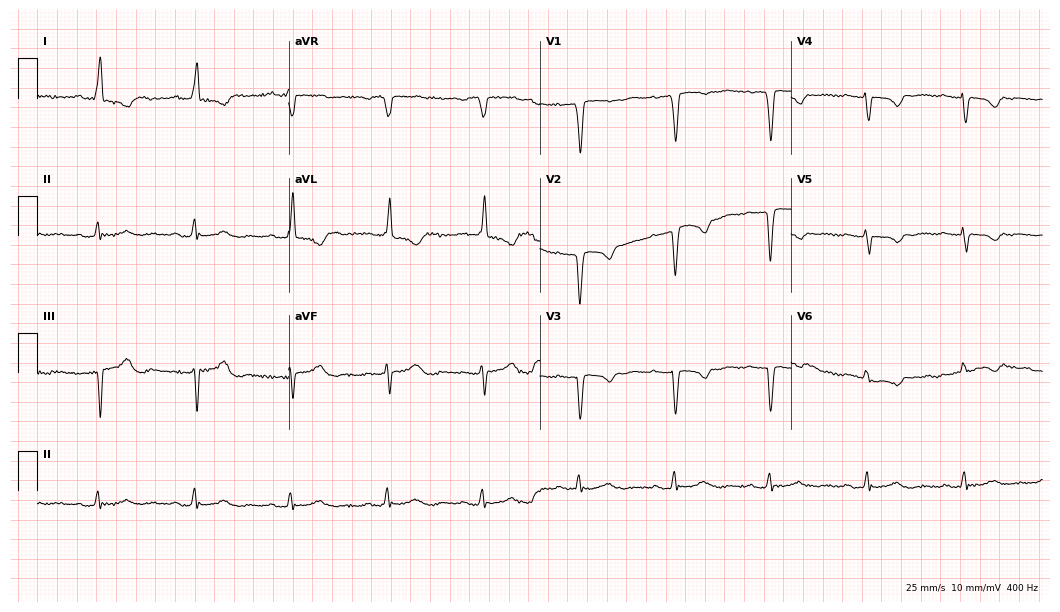
12-lead ECG from an 85-year-old female. Screened for six findings — first-degree AV block, right bundle branch block, left bundle branch block, sinus bradycardia, atrial fibrillation, sinus tachycardia — none is recorded.